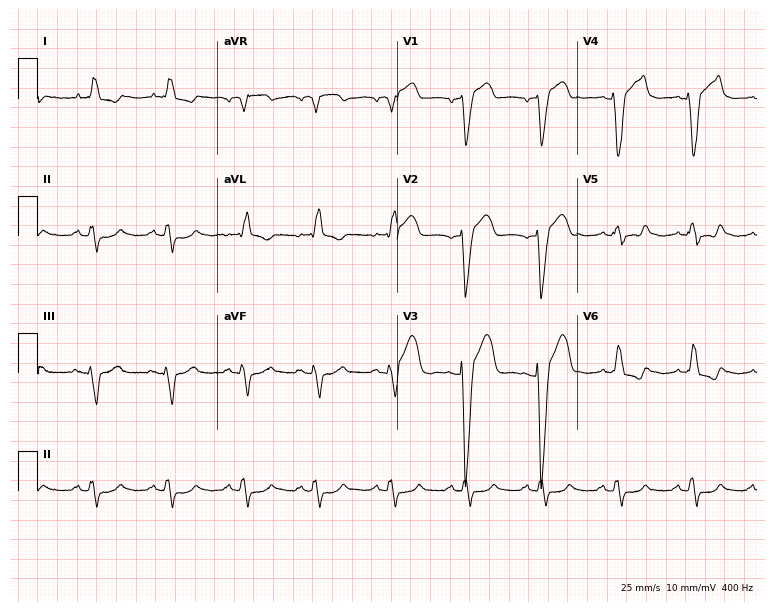
12-lead ECG from a 71-year-old male patient (7.3-second recording at 400 Hz). Shows left bundle branch block.